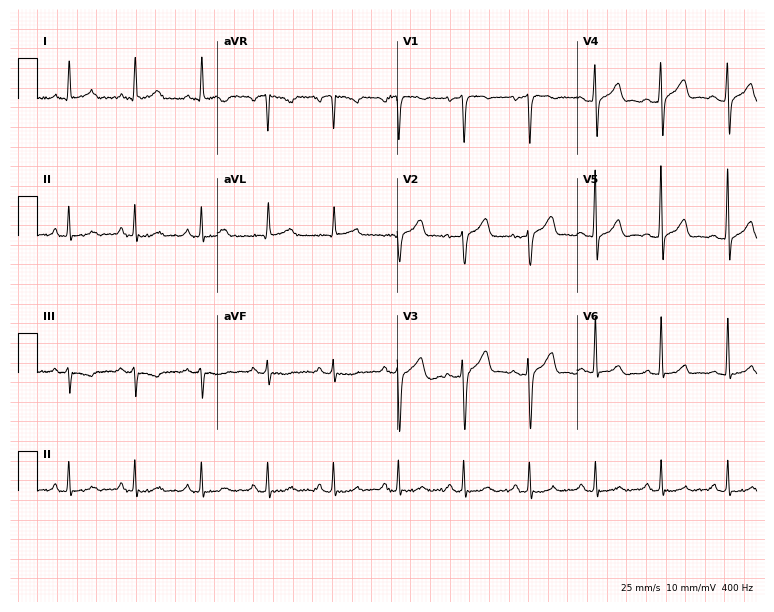
ECG — a male patient, 71 years old. Labelled as a normal ECG.